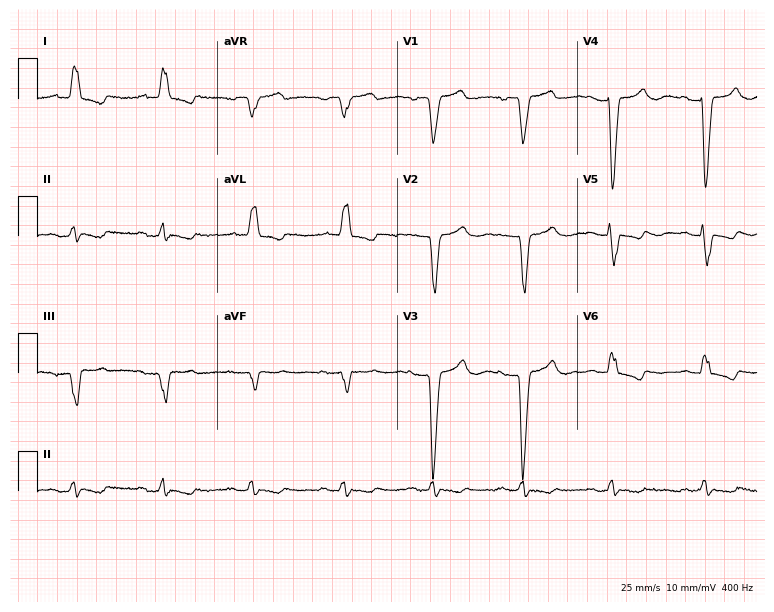
Standard 12-lead ECG recorded from an 81-year-old woman (7.3-second recording at 400 Hz). The tracing shows left bundle branch block.